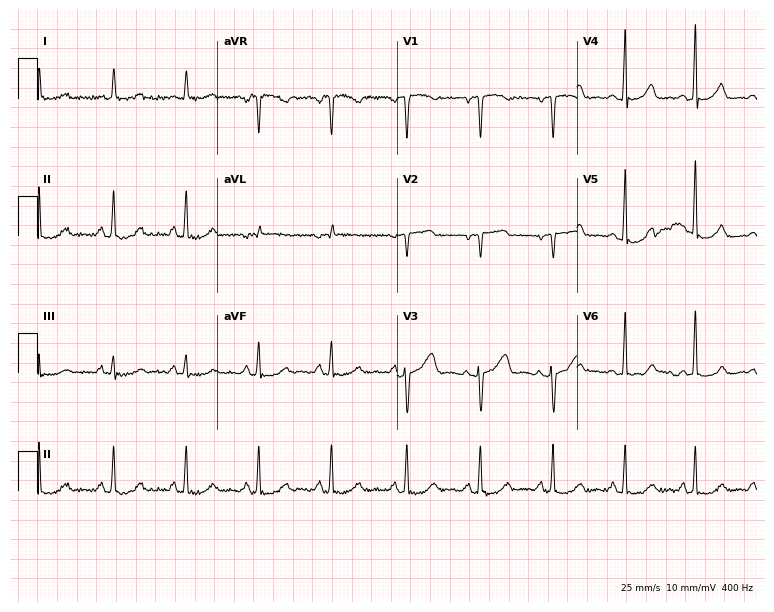
12-lead ECG from a woman, 47 years old (7.3-second recording at 400 Hz). Recorded interpretation: within normal limits.